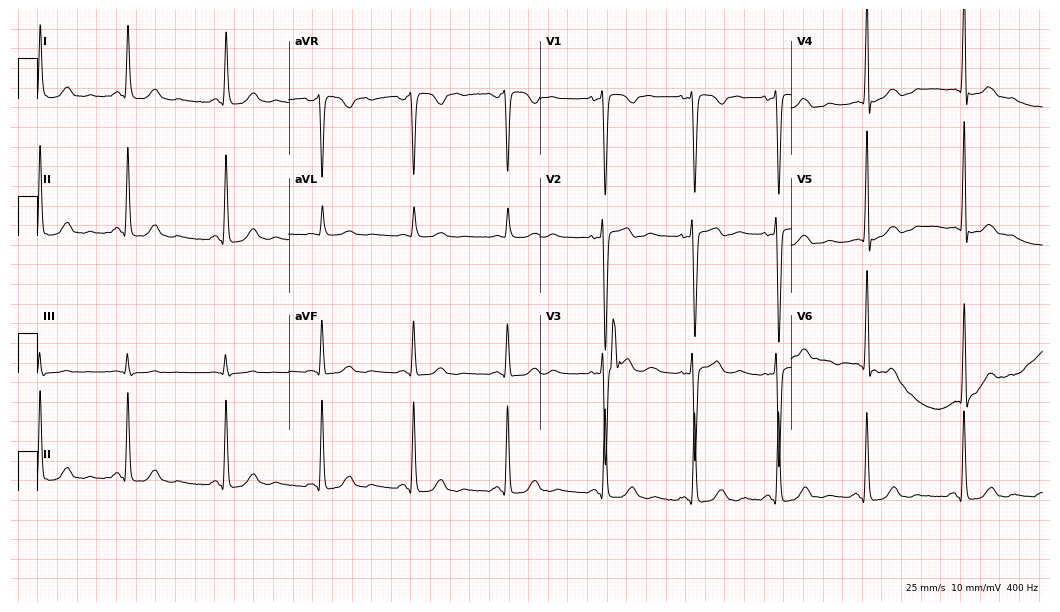
Electrocardiogram, a woman, 45 years old. Overall reading on record: normal ECG.